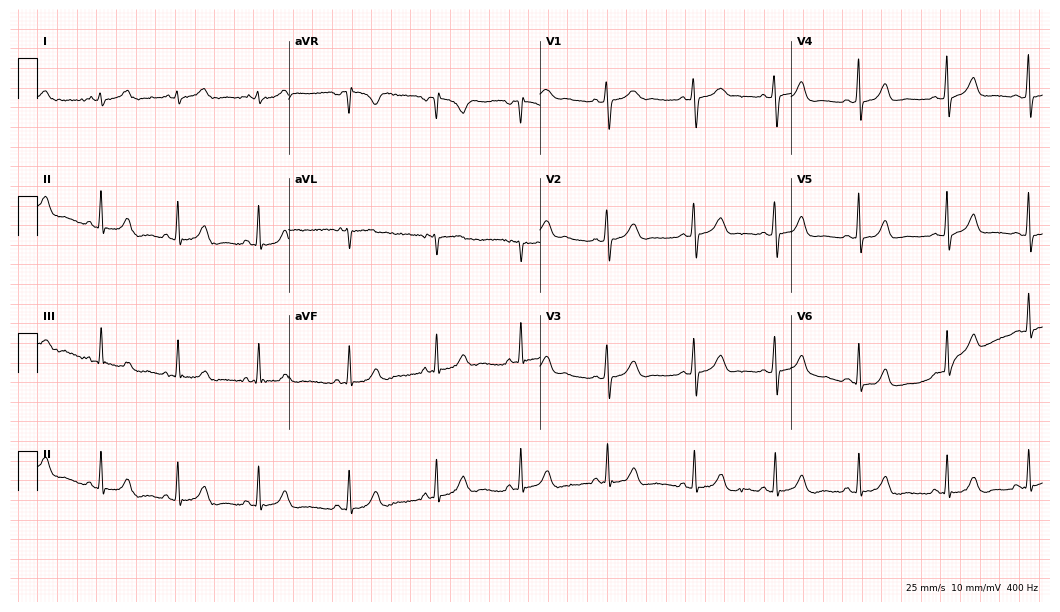
Electrocardiogram (10.2-second recording at 400 Hz), a woman, 18 years old. Of the six screened findings (first-degree AV block, right bundle branch block, left bundle branch block, sinus bradycardia, atrial fibrillation, sinus tachycardia), none is recorded. Findings outside these six are not listed.